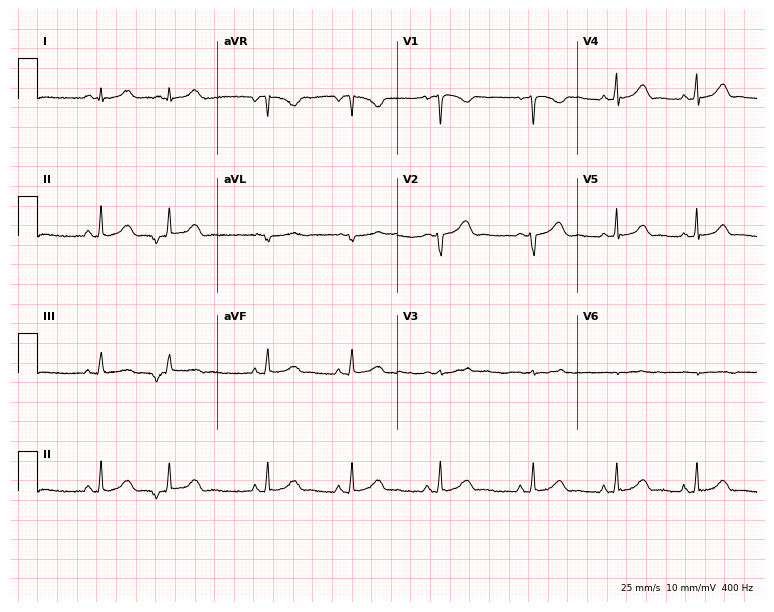
ECG — a female patient, 30 years old. Screened for six findings — first-degree AV block, right bundle branch block, left bundle branch block, sinus bradycardia, atrial fibrillation, sinus tachycardia — none is recorded. Only these six findings were labelled.